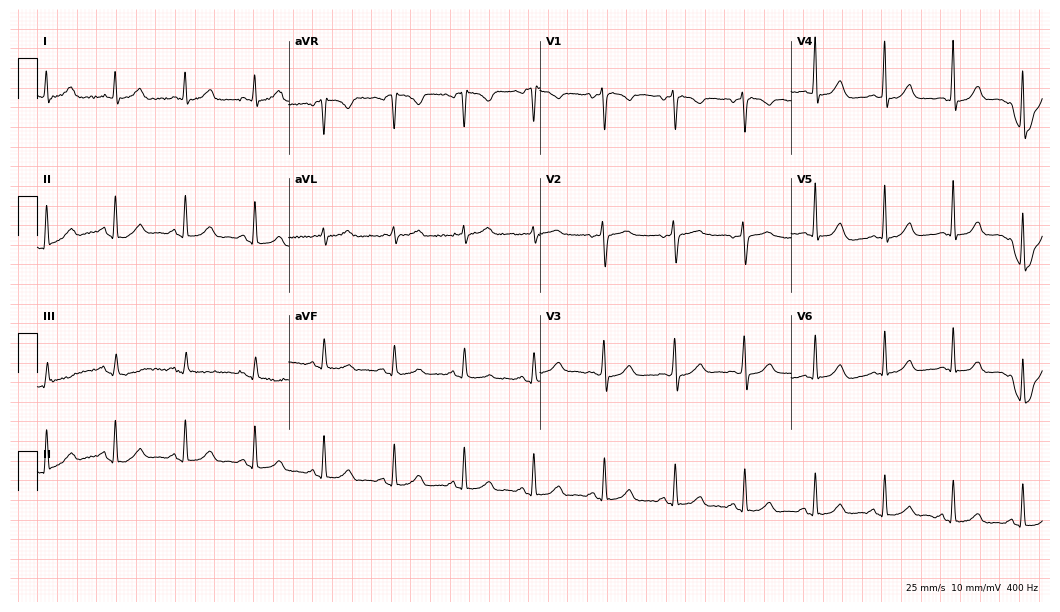
Standard 12-lead ECG recorded from a woman, 40 years old (10.2-second recording at 400 Hz). Read as a normal ECG.